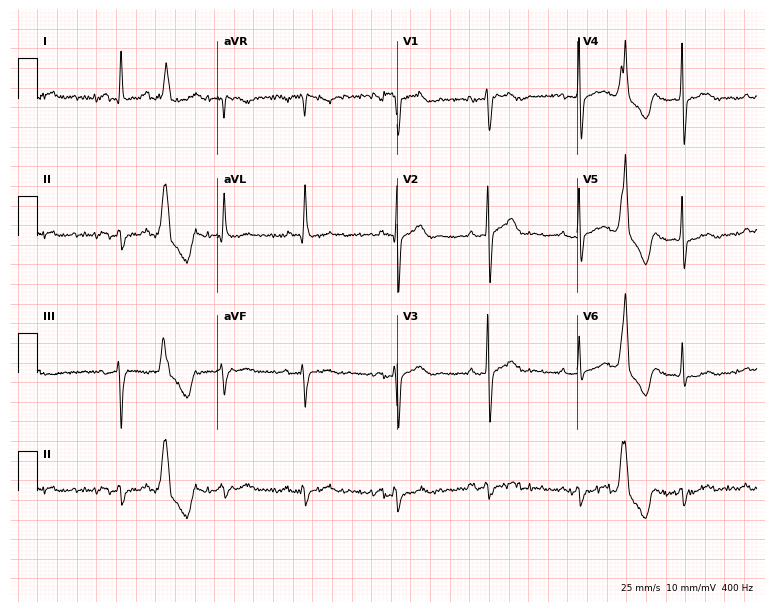
ECG (7.3-second recording at 400 Hz) — a male patient, 67 years old. Screened for six findings — first-degree AV block, right bundle branch block, left bundle branch block, sinus bradycardia, atrial fibrillation, sinus tachycardia — none is recorded. Findings outside these six are not listed.